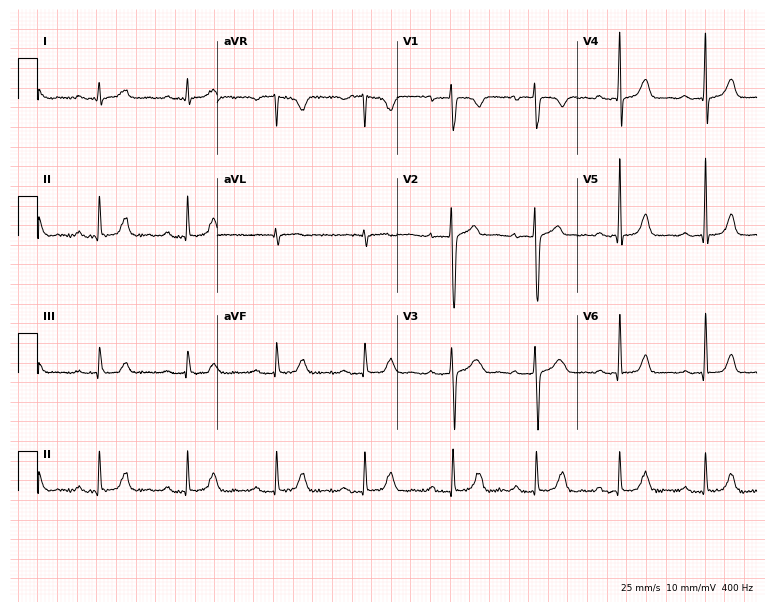
Resting 12-lead electrocardiogram. Patient: a male, 37 years old. Read as a normal ECG.